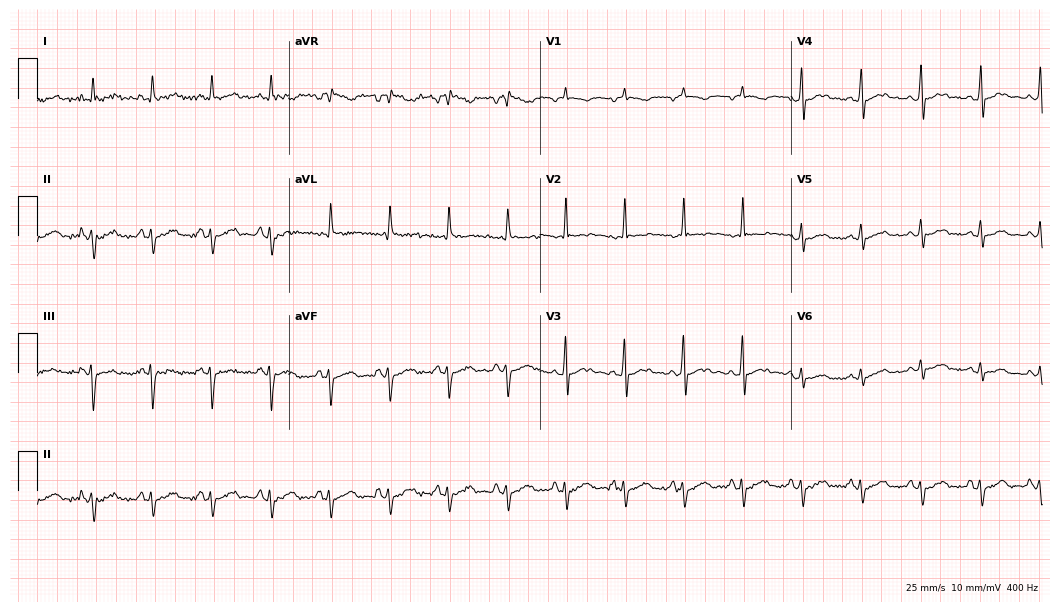
12-lead ECG from a 70-year-old woman. Screened for six findings — first-degree AV block, right bundle branch block, left bundle branch block, sinus bradycardia, atrial fibrillation, sinus tachycardia — none is recorded. Other findings, if any, are not listed.